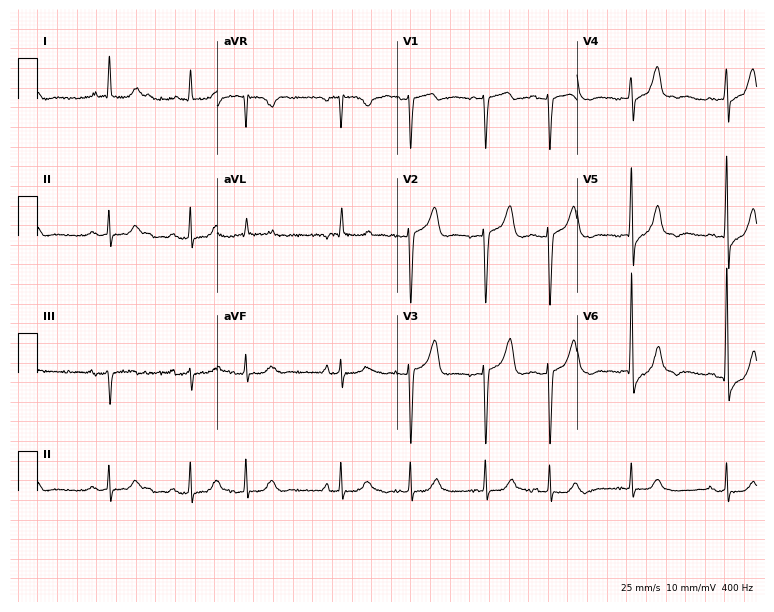
Standard 12-lead ECG recorded from a female patient, 85 years old (7.3-second recording at 400 Hz). None of these six findings is recorded: first-degree AV block, right bundle branch block, left bundle branch block, sinus bradycardia, atrial fibrillation, sinus tachycardia. Only these six findings were labelled.